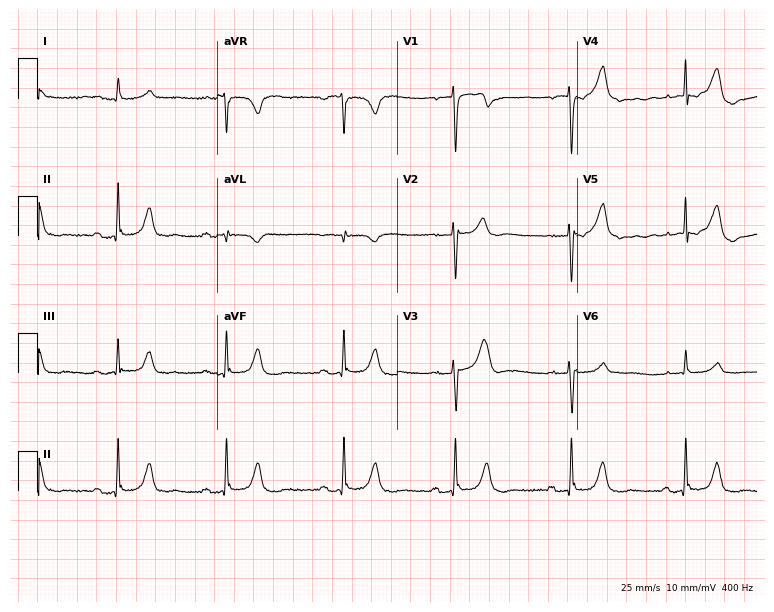
Resting 12-lead electrocardiogram (7.3-second recording at 400 Hz). Patient: a female, 79 years old. Read as a normal ECG.